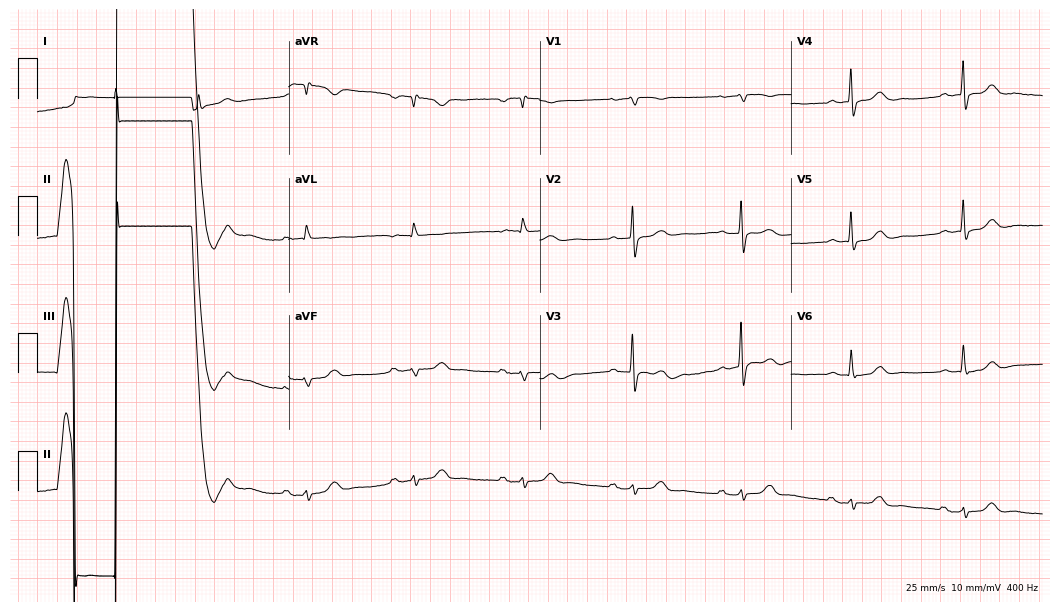
12-lead ECG from a male, 70 years old. Screened for six findings — first-degree AV block, right bundle branch block, left bundle branch block, sinus bradycardia, atrial fibrillation, sinus tachycardia — none is recorded.